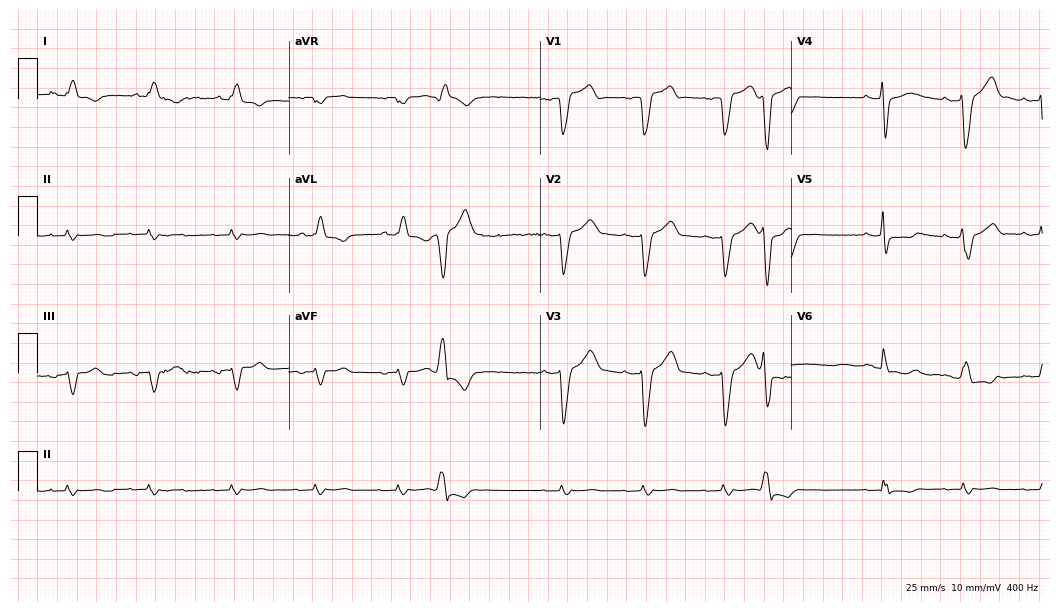
12-lead ECG from an 85-year-old male. Findings include left bundle branch block (LBBB).